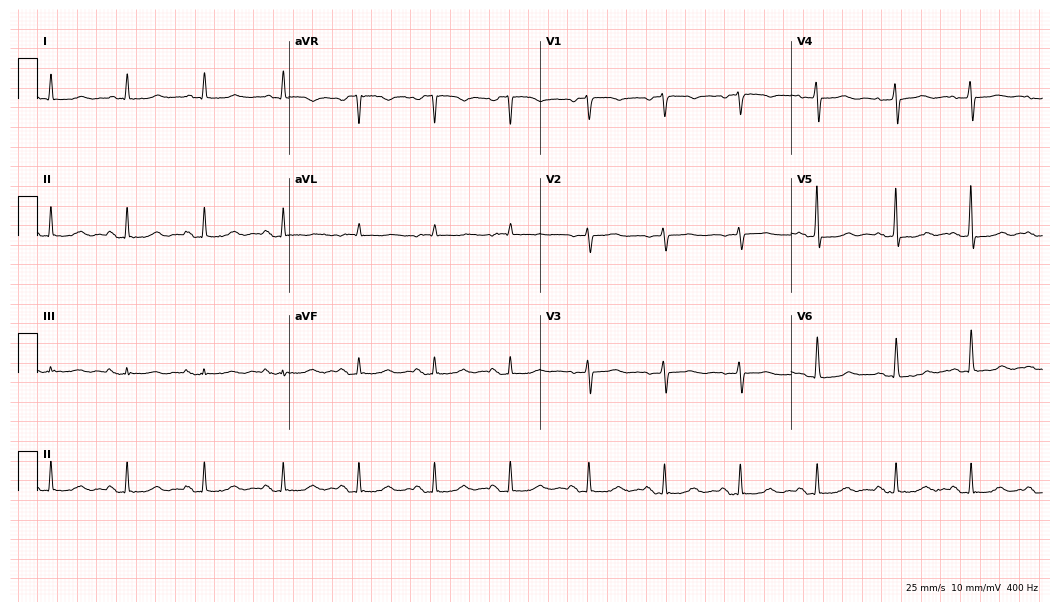
Resting 12-lead electrocardiogram. Patient: a woman, 69 years old. None of these six findings is recorded: first-degree AV block, right bundle branch block, left bundle branch block, sinus bradycardia, atrial fibrillation, sinus tachycardia.